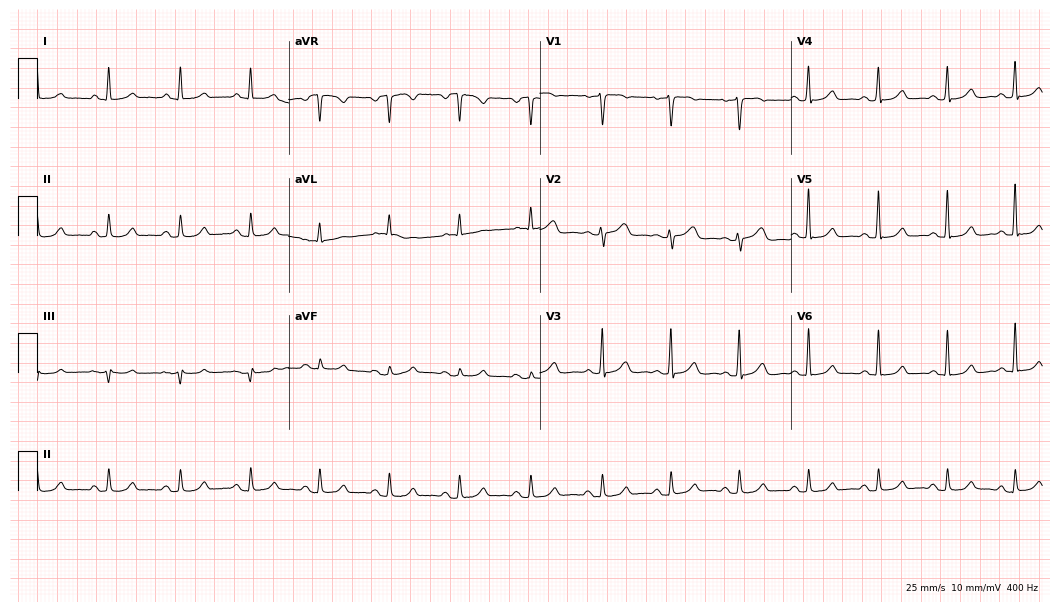
12-lead ECG from a 60-year-old woman (10.2-second recording at 400 Hz). No first-degree AV block, right bundle branch block, left bundle branch block, sinus bradycardia, atrial fibrillation or sinus tachycardia recorded for this tracing. Other findings, if any, are not listed.